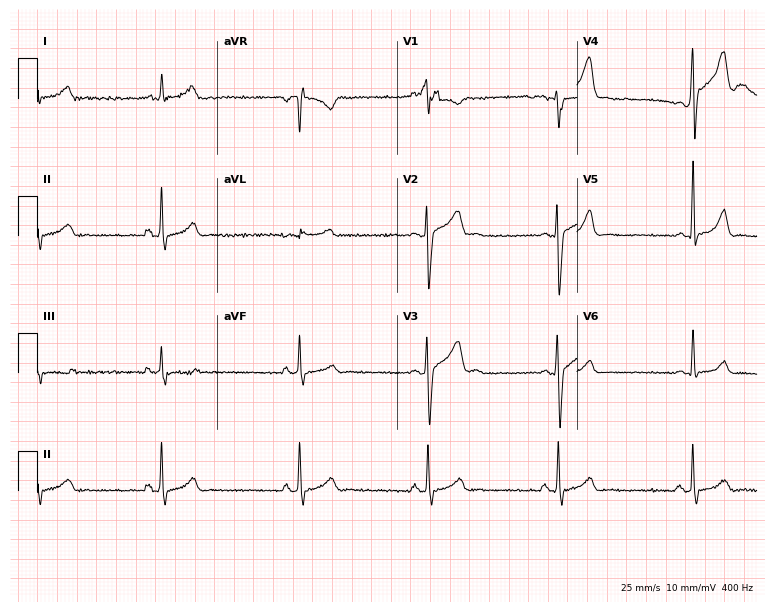
Resting 12-lead electrocardiogram. Patient: a 32-year-old man. None of these six findings is recorded: first-degree AV block, right bundle branch block (RBBB), left bundle branch block (LBBB), sinus bradycardia, atrial fibrillation (AF), sinus tachycardia. Other findings, if any, are not listed.